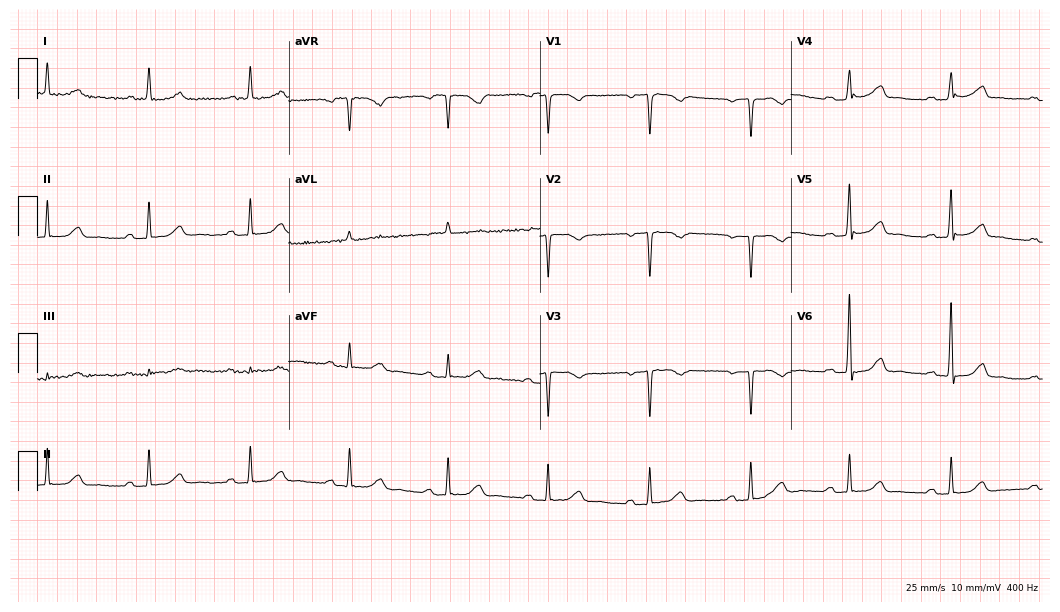
Resting 12-lead electrocardiogram (10.2-second recording at 400 Hz). Patient: a woman, 69 years old. None of these six findings is recorded: first-degree AV block, right bundle branch block (RBBB), left bundle branch block (LBBB), sinus bradycardia, atrial fibrillation (AF), sinus tachycardia. Other findings, if any, are not listed.